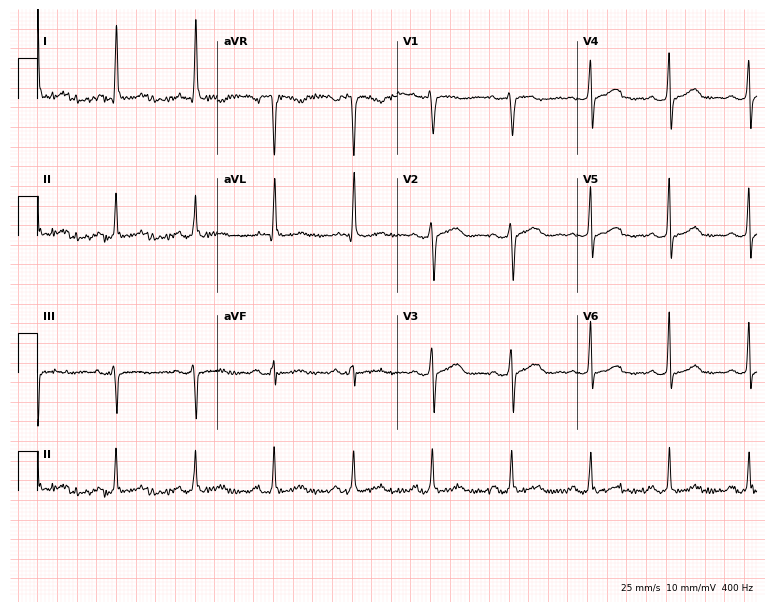
Resting 12-lead electrocardiogram (7.3-second recording at 400 Hz). Patient: a female, 53 years old. Read as a normal ECG.